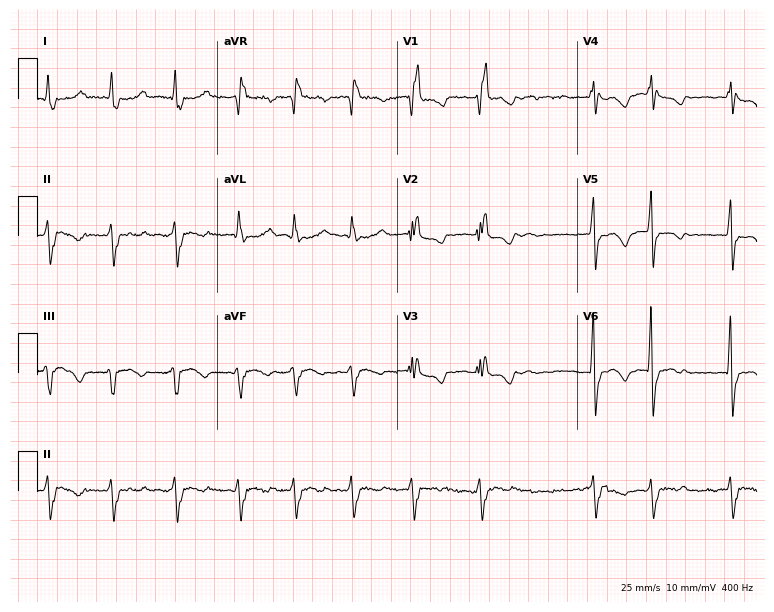
ECG — a woman, 70 years old. Findings include right bundle branch block, atrial fibrillation.